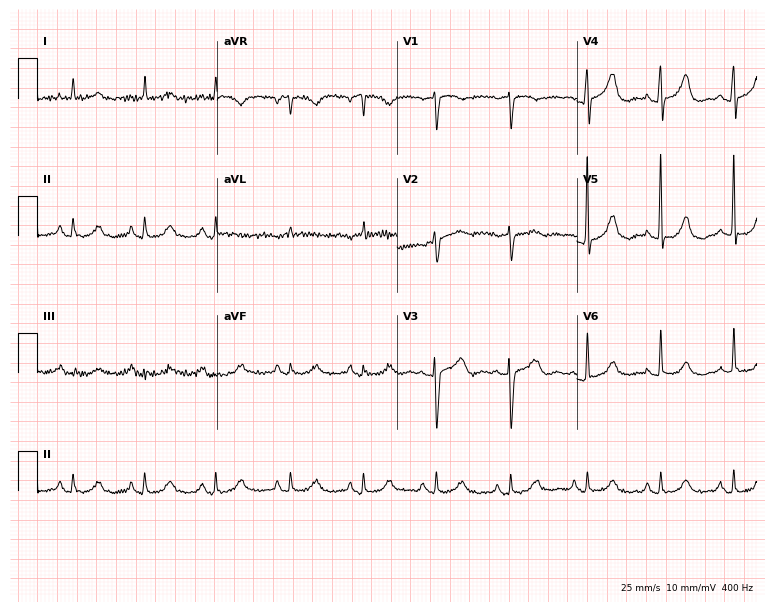
12-lead ECG (7.3-second recording at 400 Hz) from a 77-year-old woman. Screened for six findings — first-degree AV block, right bundle branch block (RBBB), left bundle branch block (LBBB), sinus bradycardia, atrial fibrillation (AF), sinus tachycardia — none is recorded.